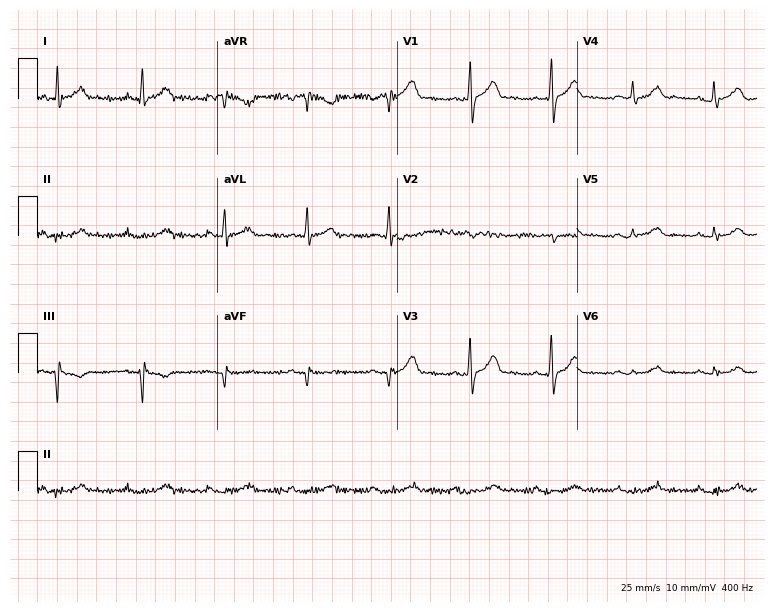
12-lead ECG from a male, 61 years old (7.3-second recording at 400 Hz). No first-degree AV block, right bundle branch block, left bundle branch block, sinus bradycardia, atrial fibrillation or sinus tachycardia recorded for this tracing.